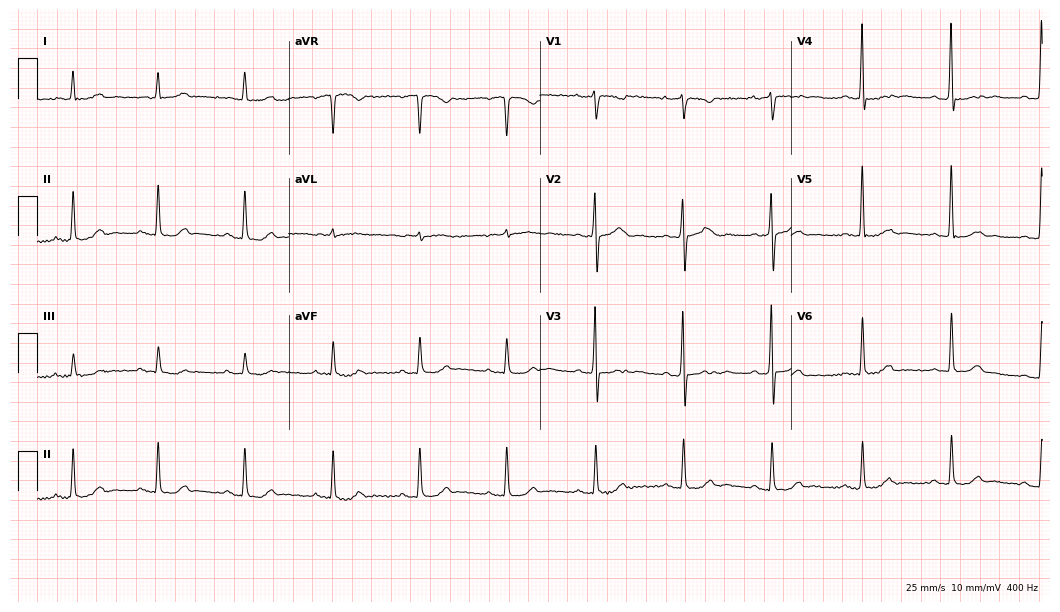
Resting 12-lead electrocardiogram (10.2-second recording at 400 Hz). Patient: a woman, 80 years old. Read as a normal ECG.